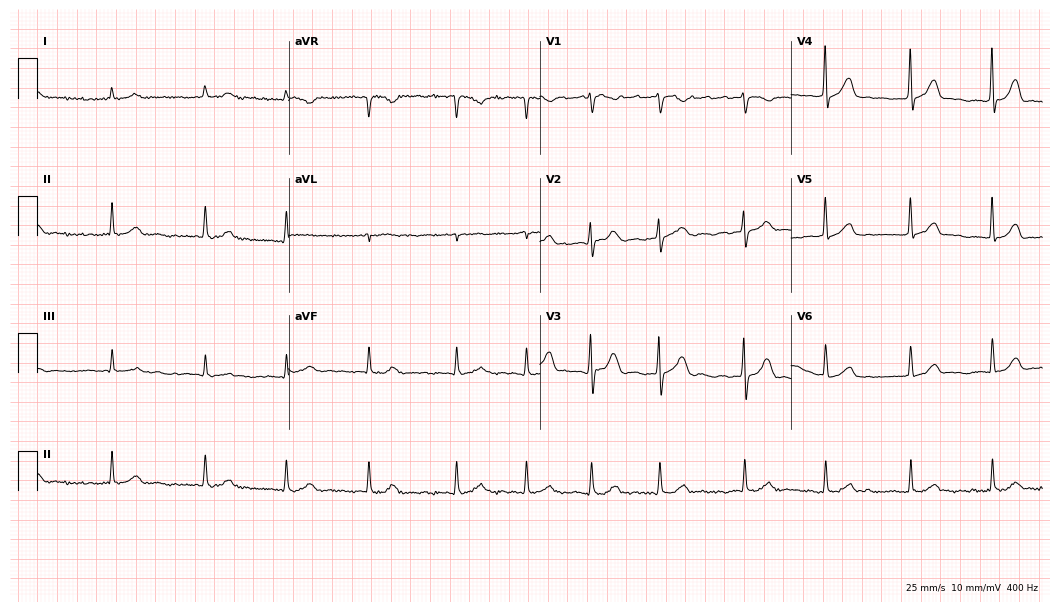
Standard 12-lead ECG recorded from a 78-year-old female (10.2-second recording at 400 Hz). The tracing shows atrial fibrillation (AF).